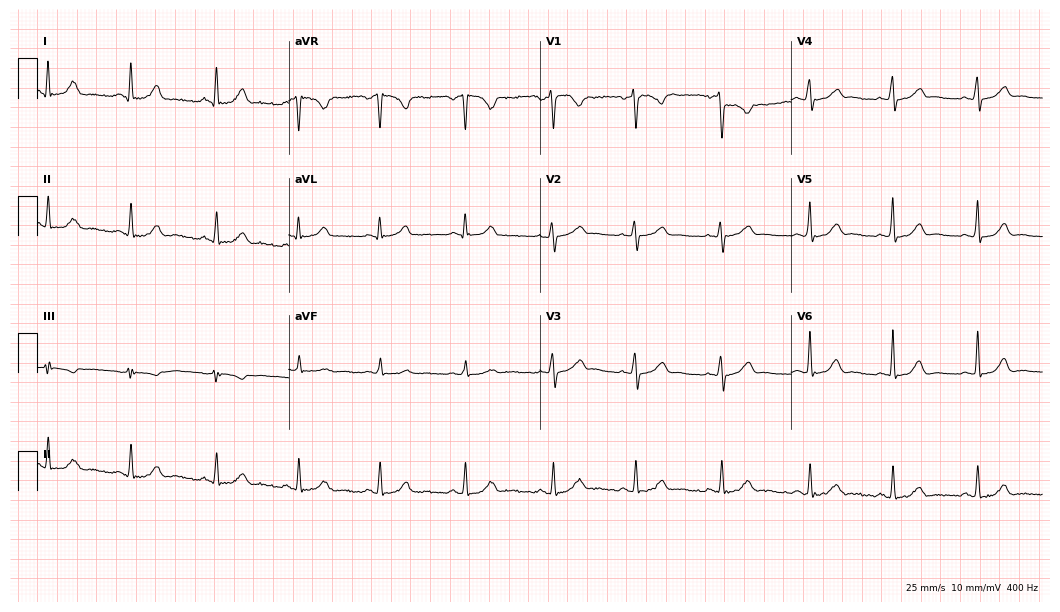
12-lead ECG from a female patient, 41 years old. Recorded interpretation: within normal limits.